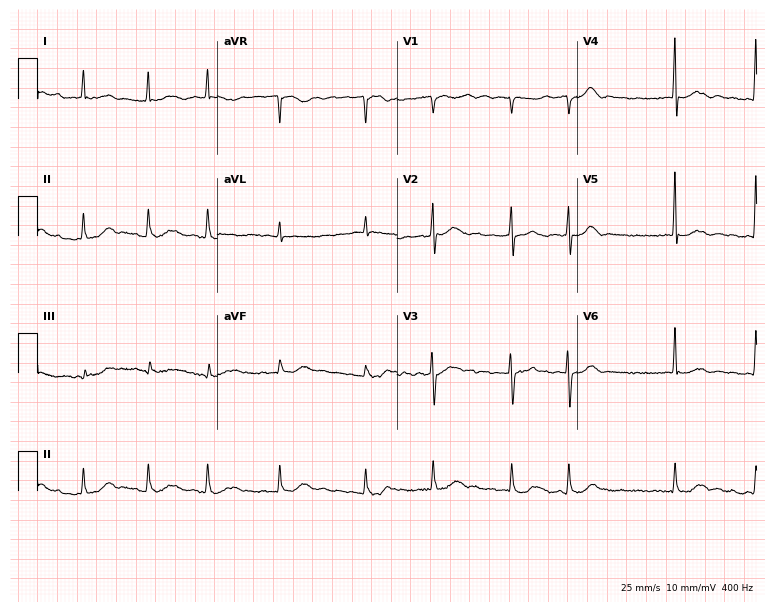
Electrocardiogram (7.3-second recording at 400 Hz), an 84-year-old female. Interpretation includes atrial fibrillation (AF).